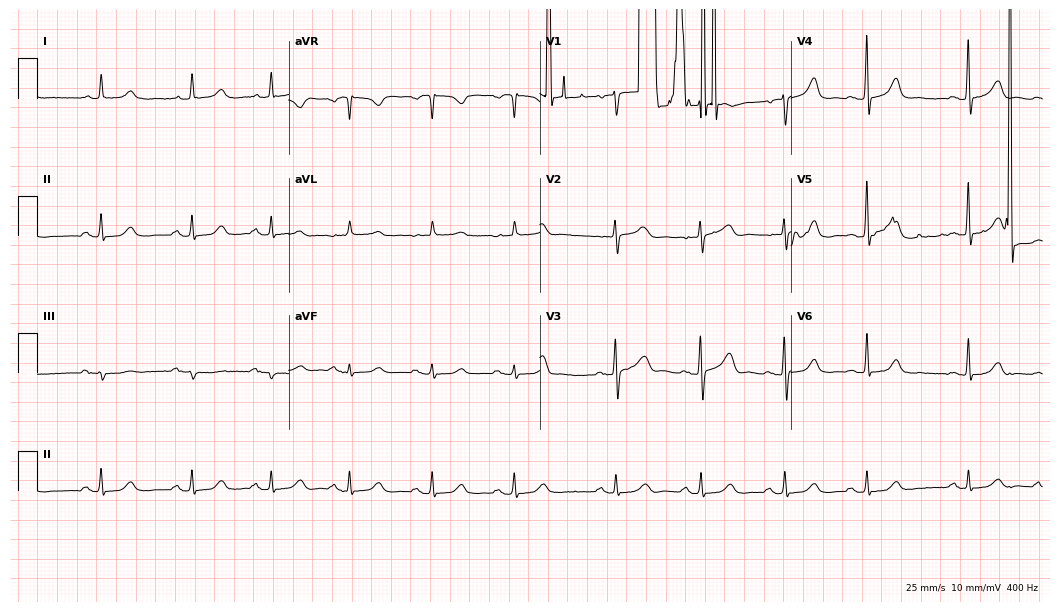
12-lead ECG from a woman, 68 years old (10.2-second recording at 400 Hz). Recorded interpretation: within normal limits.